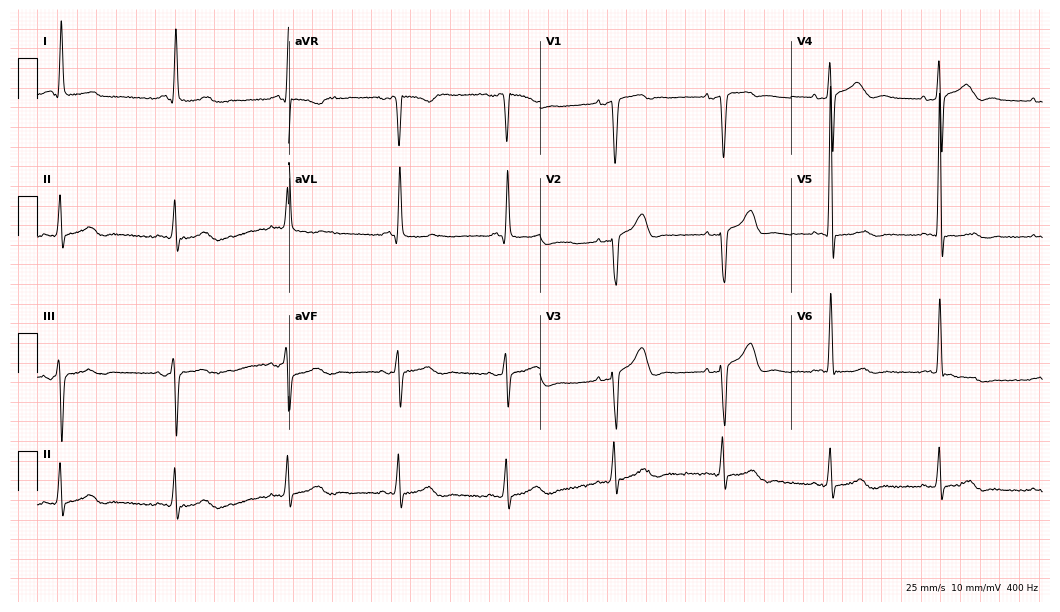
12-lead ECG from a man, 62 years old. No first-degree AV block, right bundle branch block (RBBB), left bundle branch block (LBBB), sinus bradycardia, atrial fibrillation (AF) or sinus tachycardia recorded for this tracing. Findings outside these six are not listed.